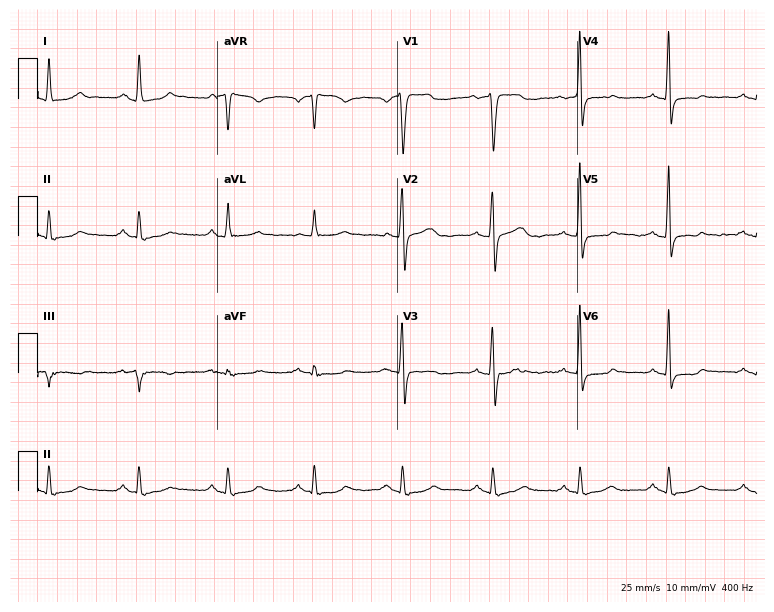
Resting 12-lead electrocardiogram. Patient: a male, 56 years old. None of these six findings is recorded: first-degree AV block, right bundle branch block, left bundle branch block, sinus bradycardia, atrial fibrillation, sinus tachycardia.